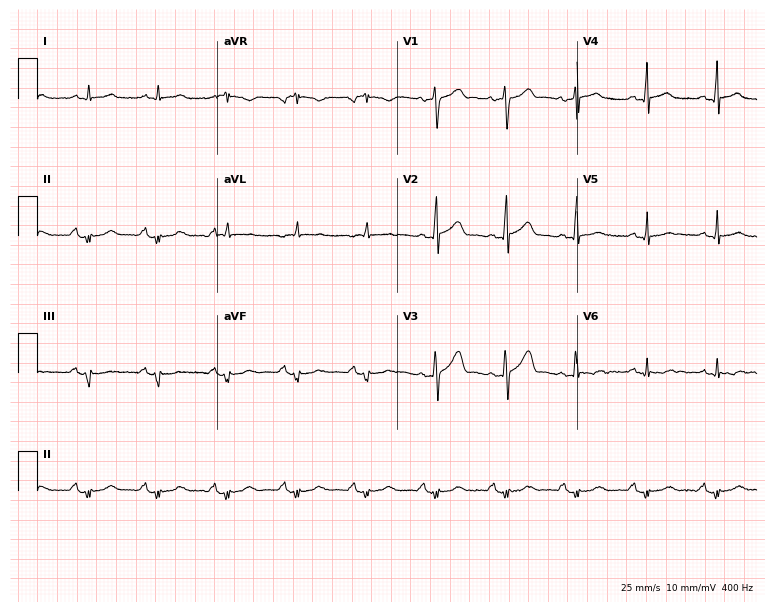
12-lead ECG (7.3-second recording at 400 Hz) from a 62-year-old male. Screened for six findings — first-degree AV block, right bundle branch block, left bundle branch block, sinus bradycardia, atrial fibrillation, sinus tachycardia — none is recorded. Other findings, if any, are not listed.